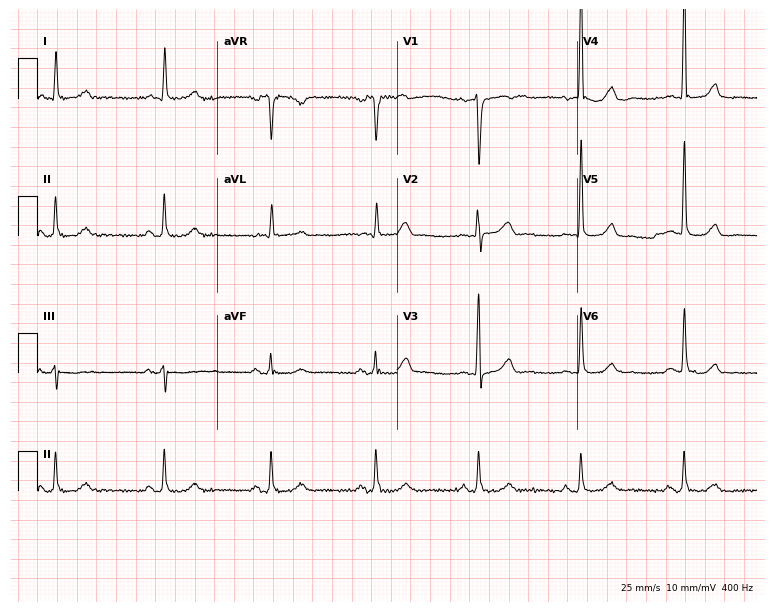
ECG — a man, 62 years old. Screened for six findings — first-degree AV block, right bundle branch block, left bundle branch block, sinus bradycardia, atrial fibrillation, sinus tachycardia — none is recorded. Only these six findings were labelled.